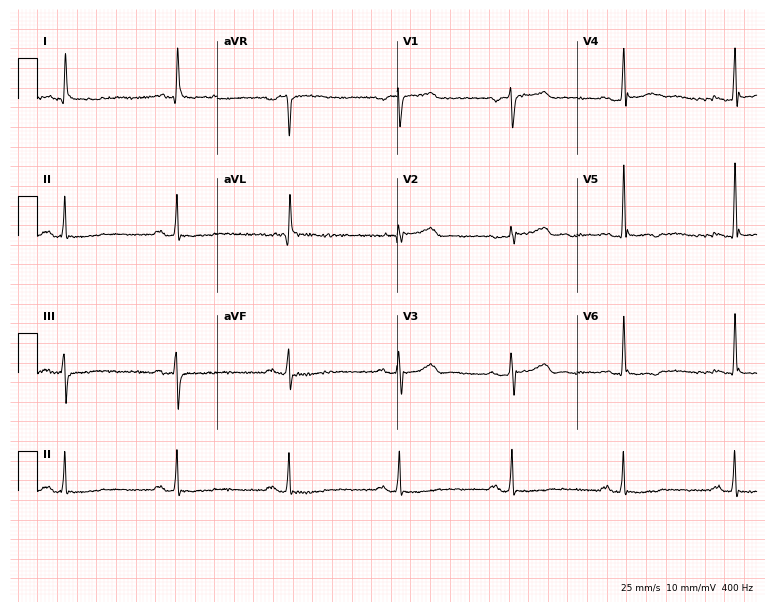
Electrocardiogram (7.3-second recording at 400 Hz), an 81-year-old female. Overall reading on record: normal ECG.